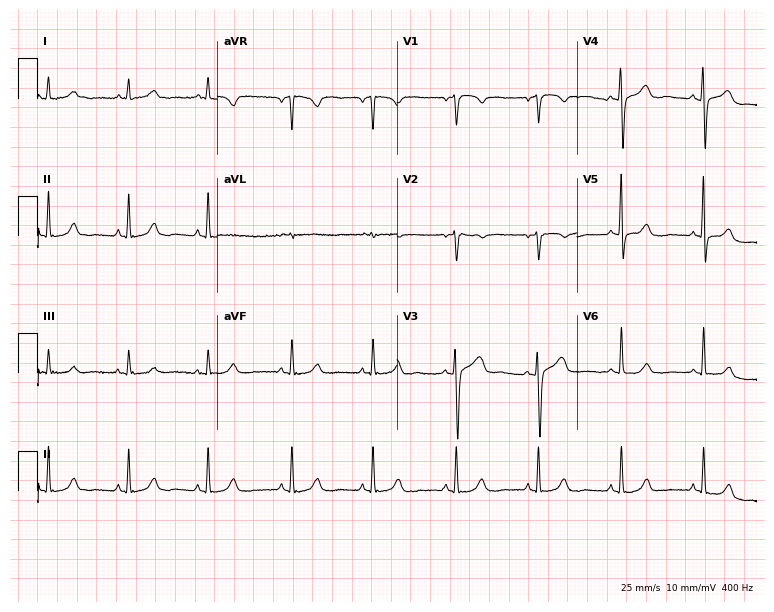
ECG — a 55-year-old woman. Labelled as a normal ECG.